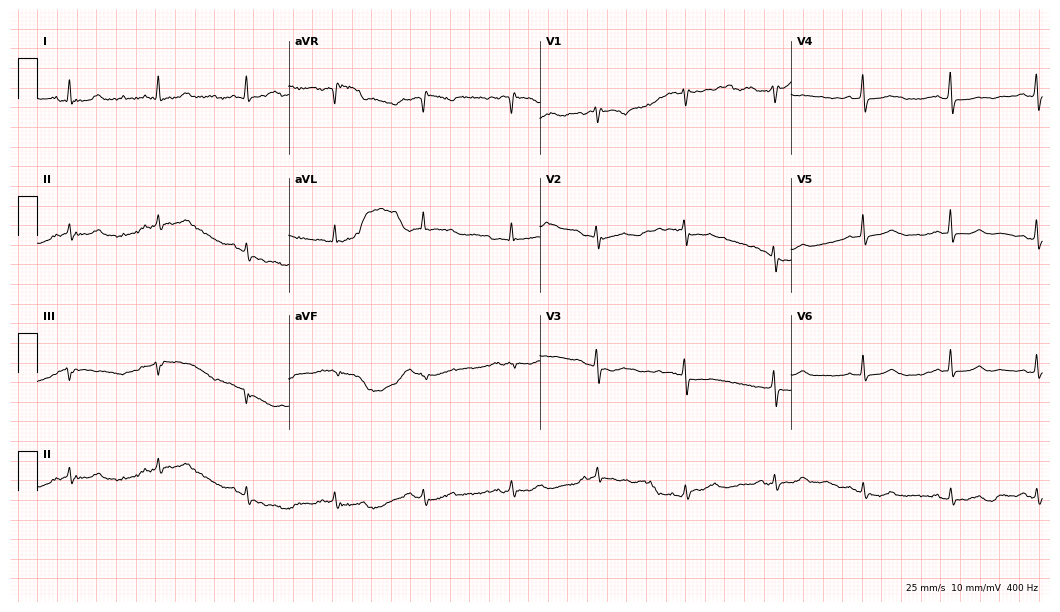
Electrocardiogram (10.2-second recording at 400 Hz), a 67-year-old woman. Of the six screened findings (first-degree AV block, right bundle branch block, left bundle branch block, sinus bradycardia, atrial fibrillation, sinus tachycardia), none is recorded.